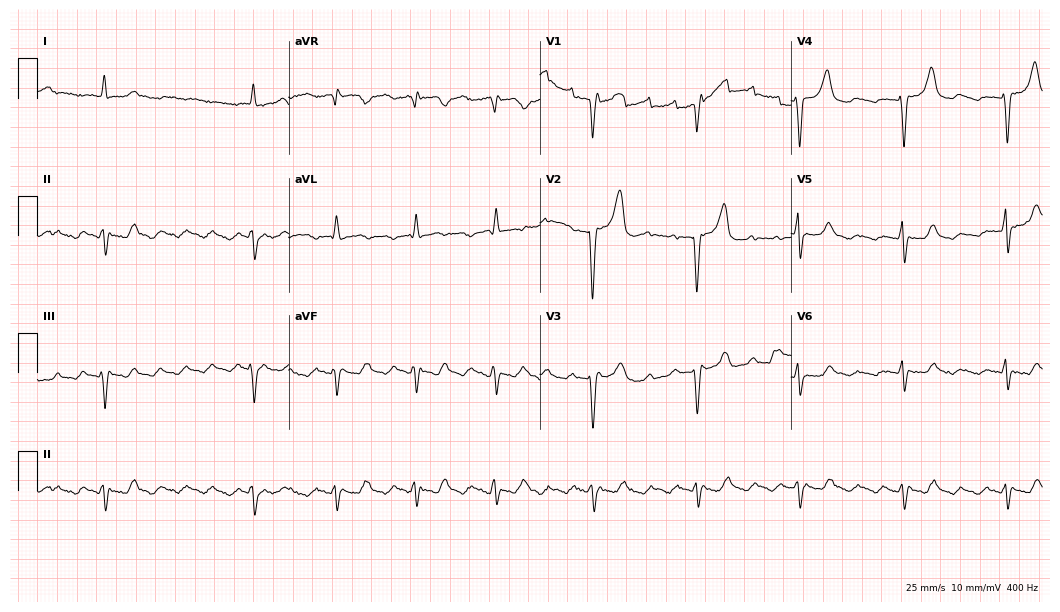
Standard 12-lead ECG recorded from a 79-year-old male patient (10.2-second recording at 400 Hz). None of these six findings is recorded: first-degree AV block, right bundle branch block (RBBB), left bundle branch block (LBBB), sinus bradycardia, atrial fibrillation (AF), sinus tachycardia. Only these six findings were labelled.